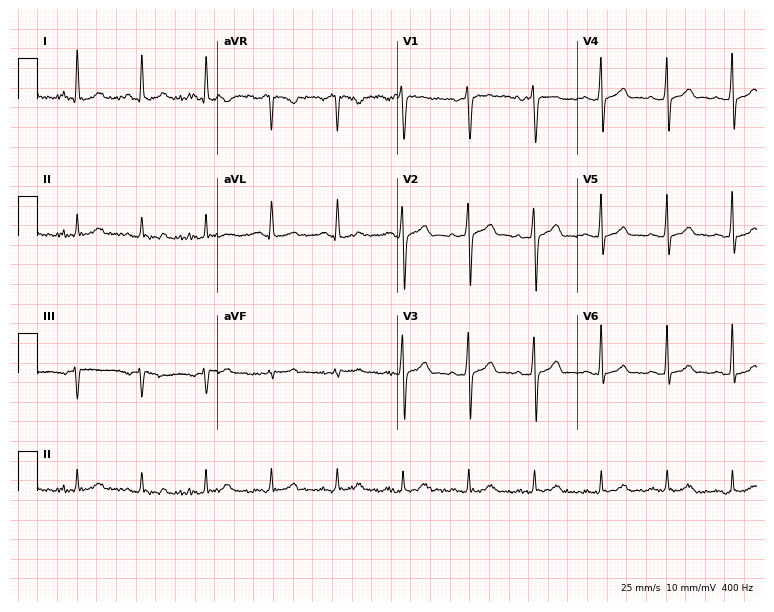
12-lead ECG from a man, 24 years old. Screened for six findings — first-degree AV block, right bundle branch block, left bundle branch block, sinus bradycardia, atrial fibrillation, sinus tachycardia — none is recorded.